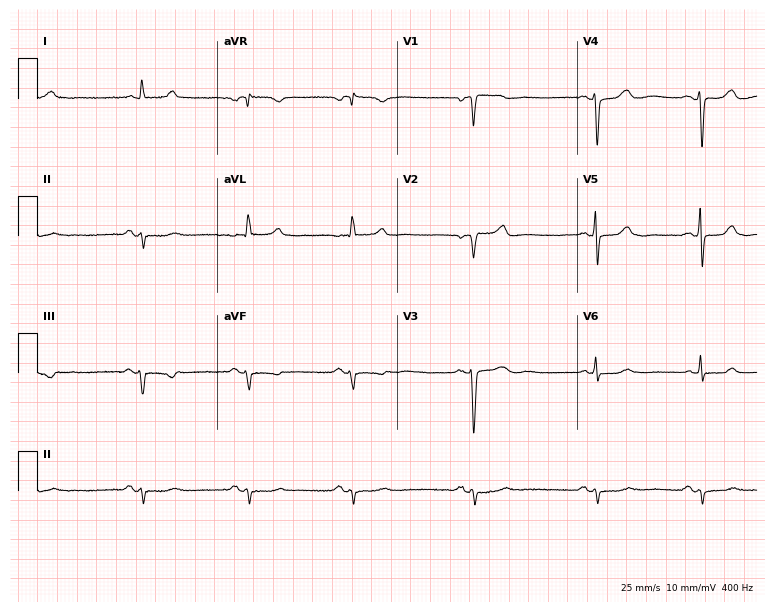
12-lead ECG from a male, 74 years old. No first-degree AV block, right bundle branch block, left bundle branch block, sinus bradycardia, atrial fibrillation or sinus tachycardia recorded for this tracing.